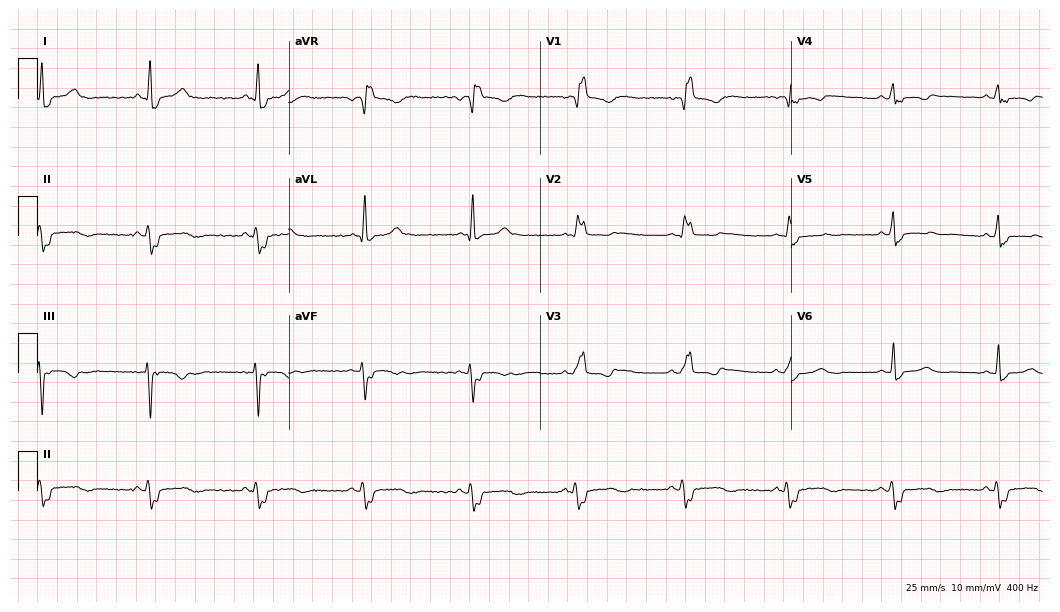
ECG (10.2-second recording at 400 Hz) — a female patient, 38 years old. Findings include right bundle branch block (RBBB).